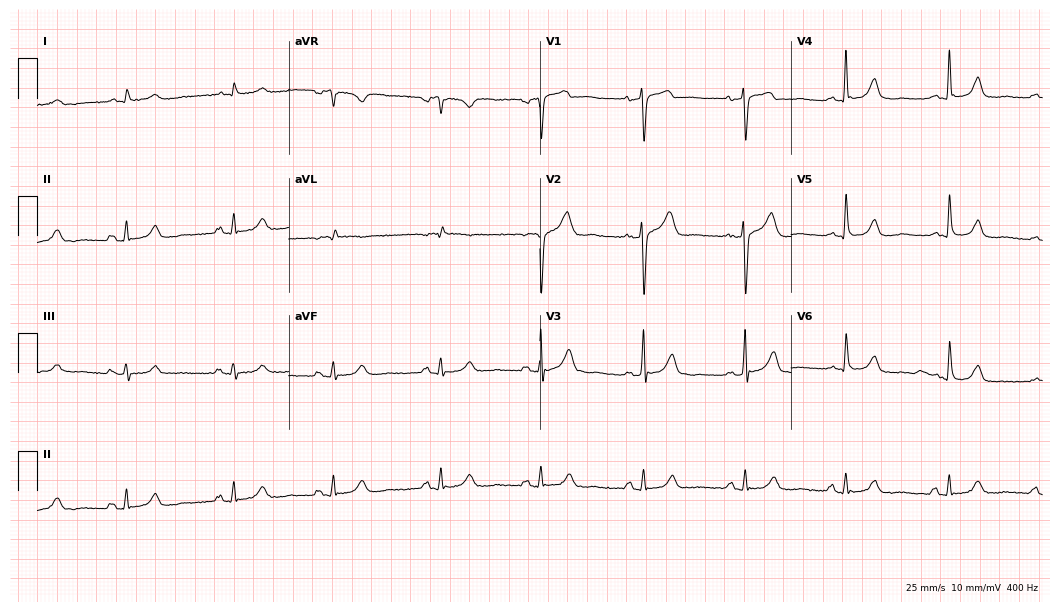
ECG — a male, 80 years old. Labelled as a normal ECG.